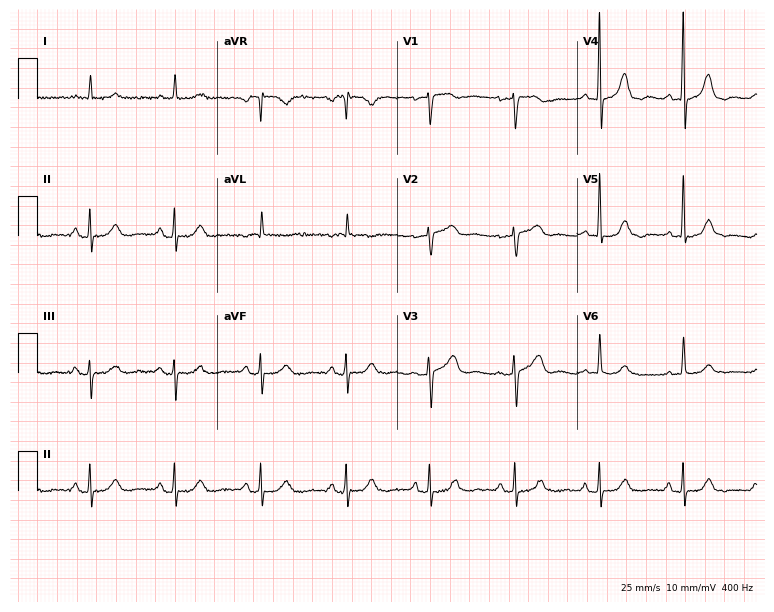
Electrocardiogram, a 75-year-old female. Overall reading on record: normal ECG.